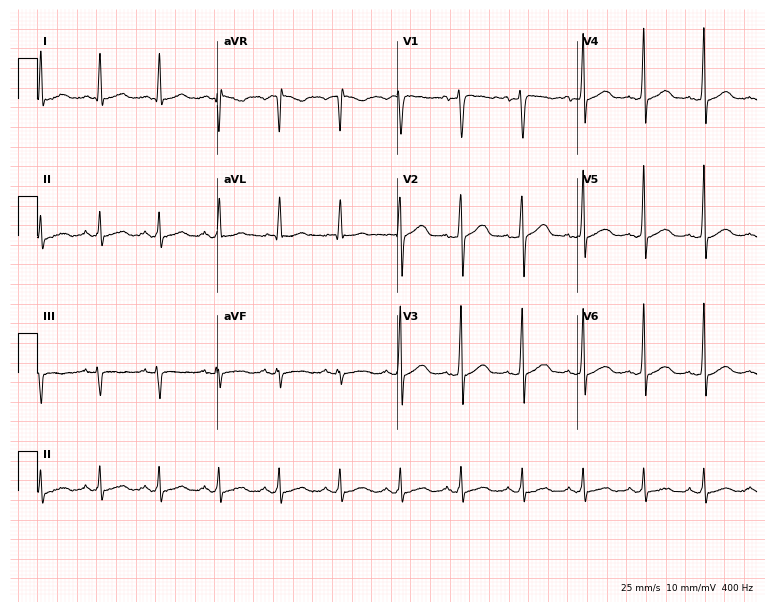
Resting 12-lead electrocardiogram. Patient: a 40-year-old male. None of these six findings is recorded: first-degree AV block, right bundle branch block, left bundle branch block, sinus bradycardia, atrial fibrillation, sinus tachycardia.